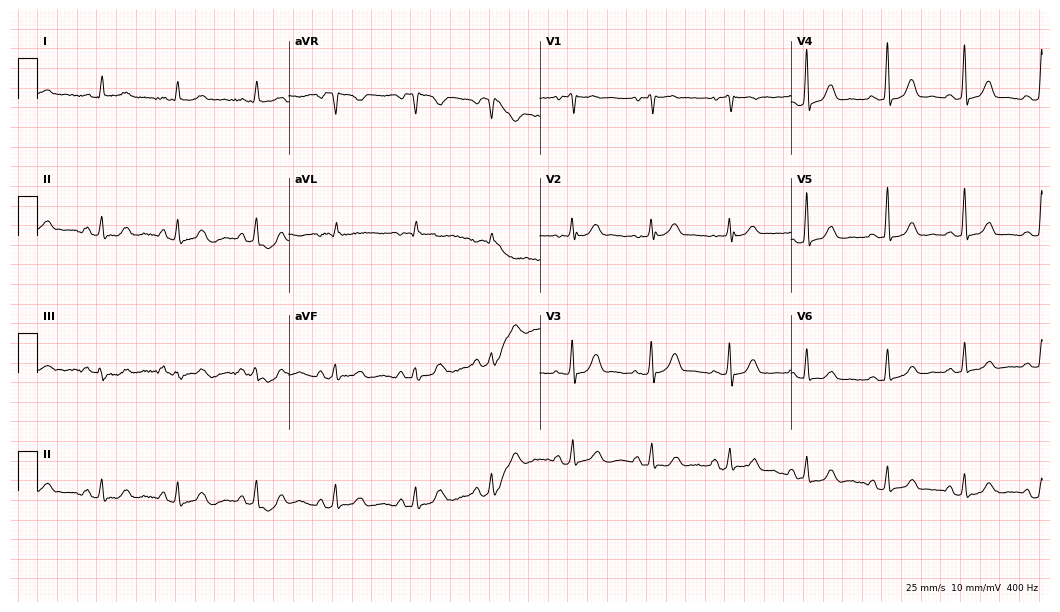
12-lead ECG from a 71-year-old woman. Labelled as a normal ECG.